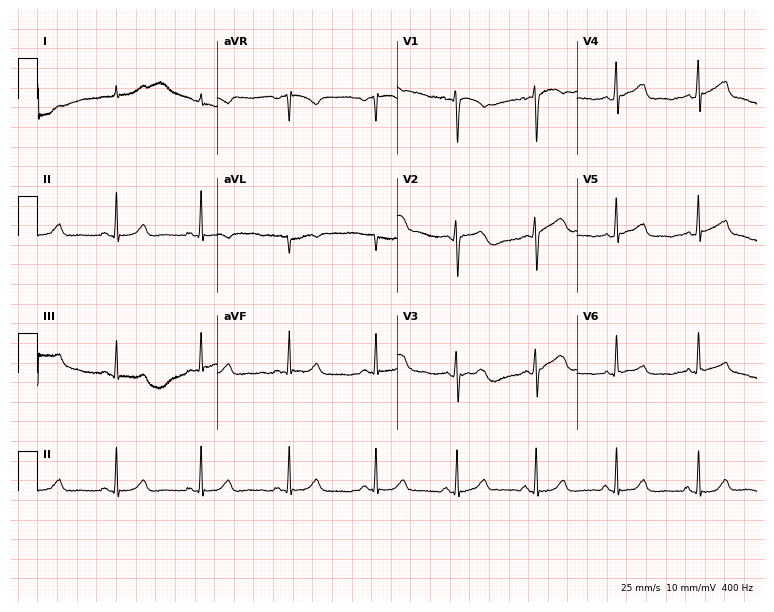
12-lead ECG from a 38-year-old female. Labelled as a normal ECG.